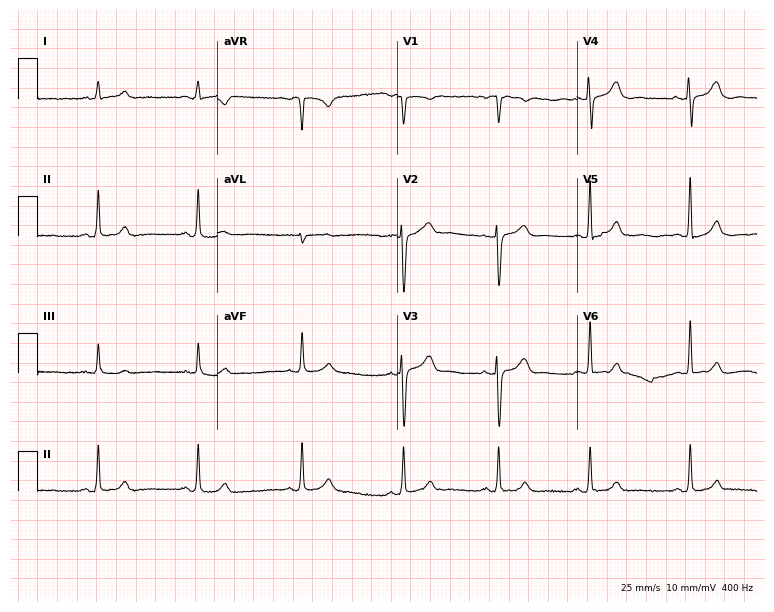
ECG — a female patient, 35 years old. Labelled as a normal ECG.